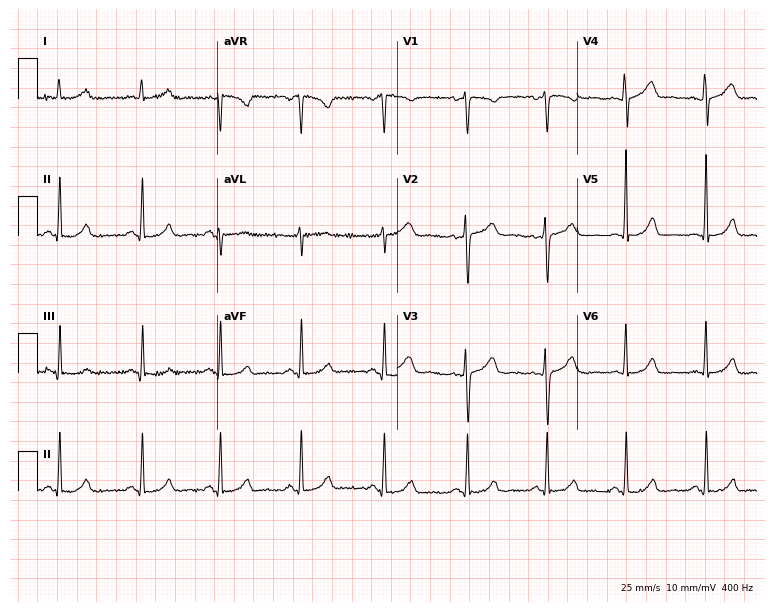
Resting 12-lead electrocardiogram (7.3-second recording at 400 Hz). Patient: a 33-year-old female. Read as a normal ECG.